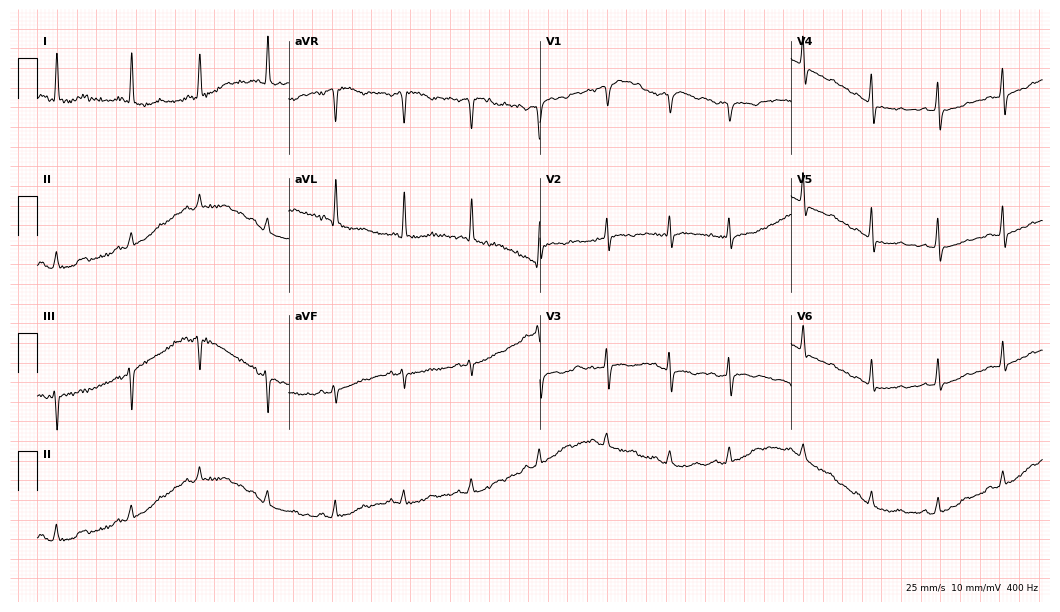
Standard 12-lead ECG recorded from a 74-year-old woman (10.2-second recording at 400 Hz). None of these six findings is recorded: first-degree AV block, right bundle branch block (RBBB), left bundle branch block (LBBB), sinus bradycardia, atrial fibrillation (AF), sinus tachycardia.